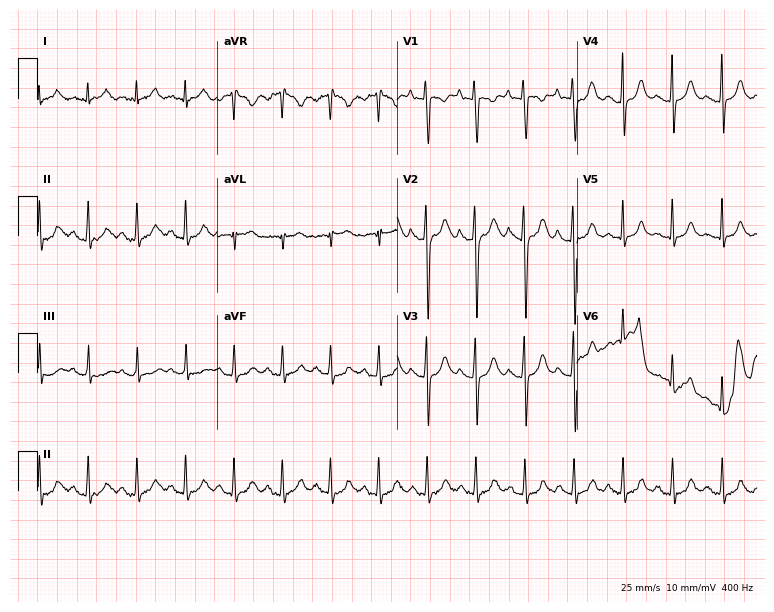
Electrocardiogram (7.3-second recording at 400 Hz), a female patient, 48 years old. Interpretation includes sinus tachycardia (a sinus rate of 100 beats per minute or more).